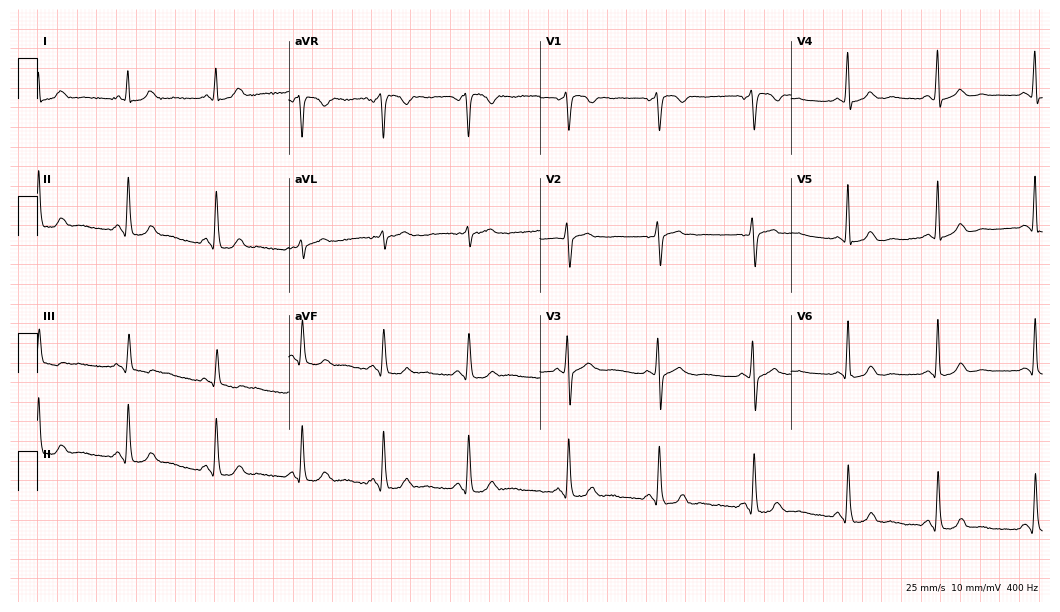
Standard 12-lead ECG recorded from a 27-year-old female patient. None of these six findings is recorded: first-degree AV block, right bundle branch block, left bundle branch block, sinus bradycardia, atrial fibrillation, sinus tachycardia.